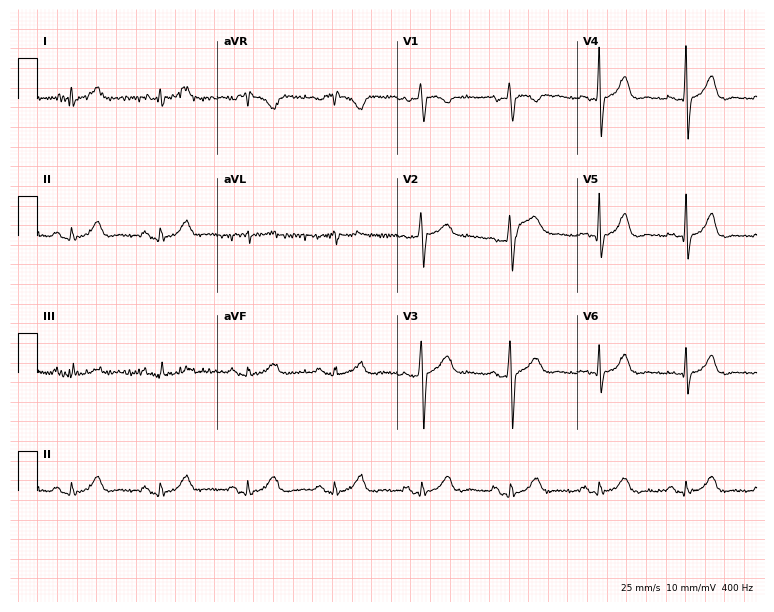
Standard 12-lead ECG recorded from a 38-year-old man (7.3-second recording at 400 Hz). Read as a normal ECG.